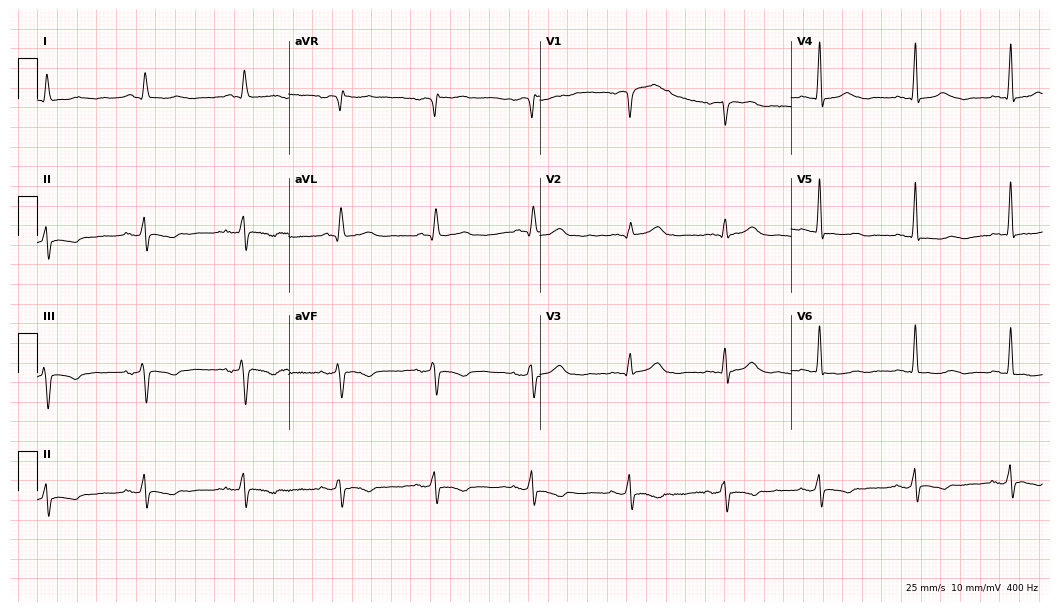
Standard 12-lead ECG recorded from an 80-year-old male patient (10.2-second recording at 400 Hz). None of these six findings is recorded: first-degree AV block, right bundle branch block (RBBB), left bundle branch block (LBBB), sinus bradycardia, atrial fibrillation (AF), sinus tachycardia.